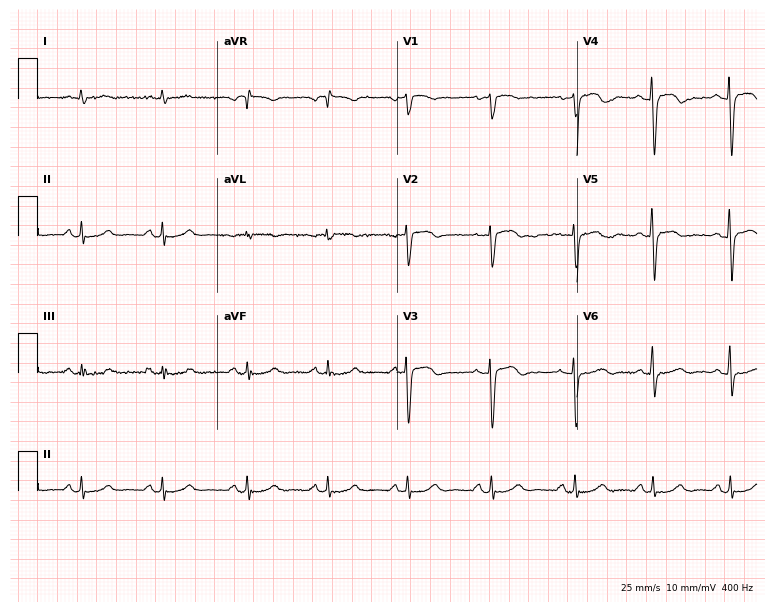
ECG (7.3-second recording at 400 Hz) — a 55-year-old female. Screened for six findings — first-degree AV block, right bundle branch block, left bundle branch block, sinus bradycardia, atrial fibrillation, sinus tachycardia — none is recorded. Findings outside these six are not listed.